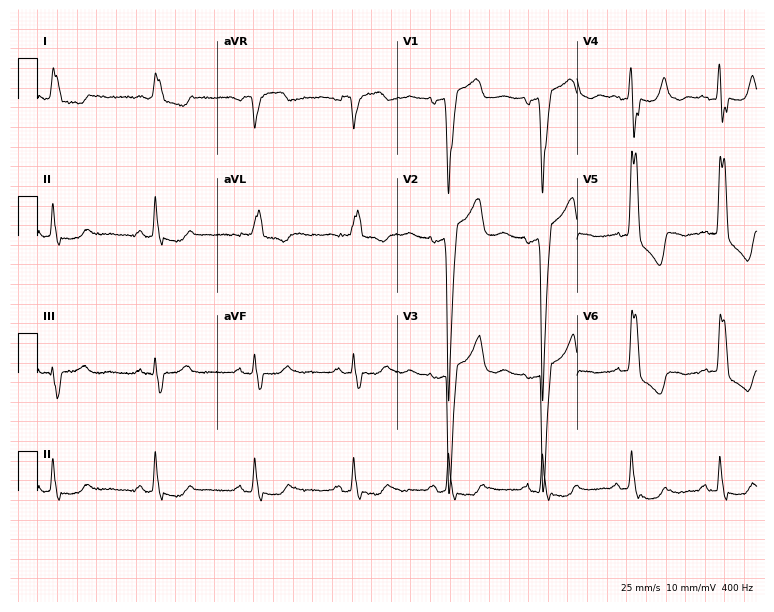
Electrocardiogram (7.3-second recording at 400 Hz), an 80-year-old woman. Interpretation includes left bundle branch block.